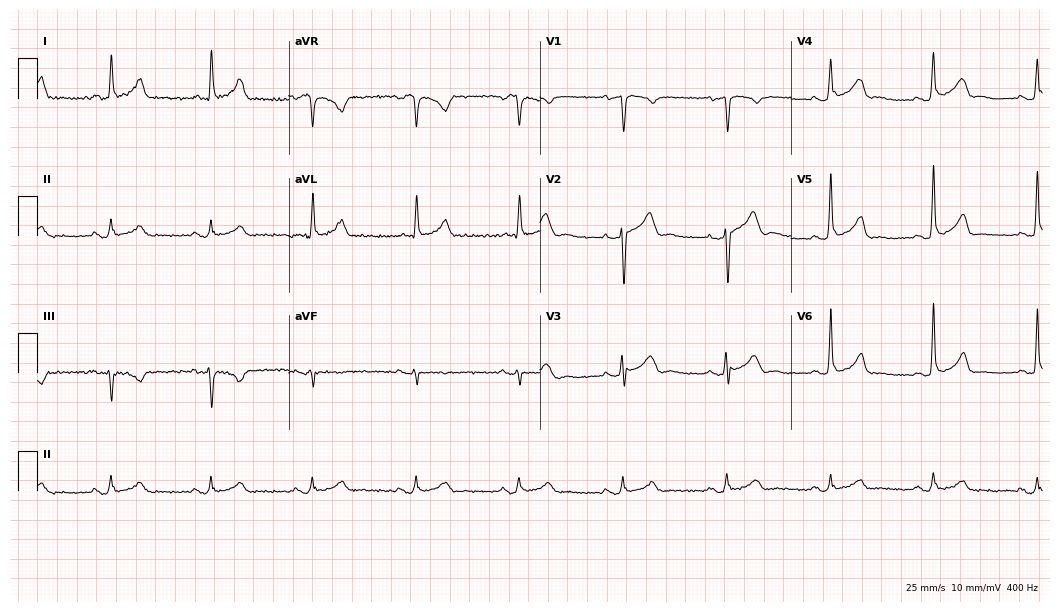
ECG (10.2-second recording at 400 Hz) — a male patient, 58 years old. Labelled as a normal ECG.